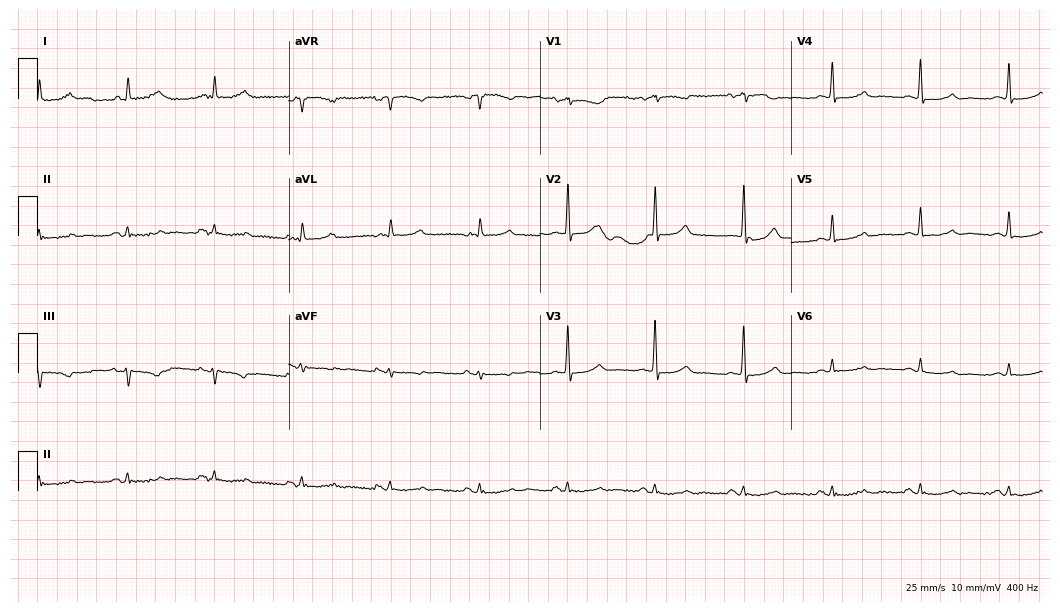
12-lead ECG from a woman, 74 years old. Screened for six findings — first-degree AV block, right bundle branch block, left bundle branch block, sinus bradycardia, atrial fibrillation, sinus tachycardia — none is recorded.